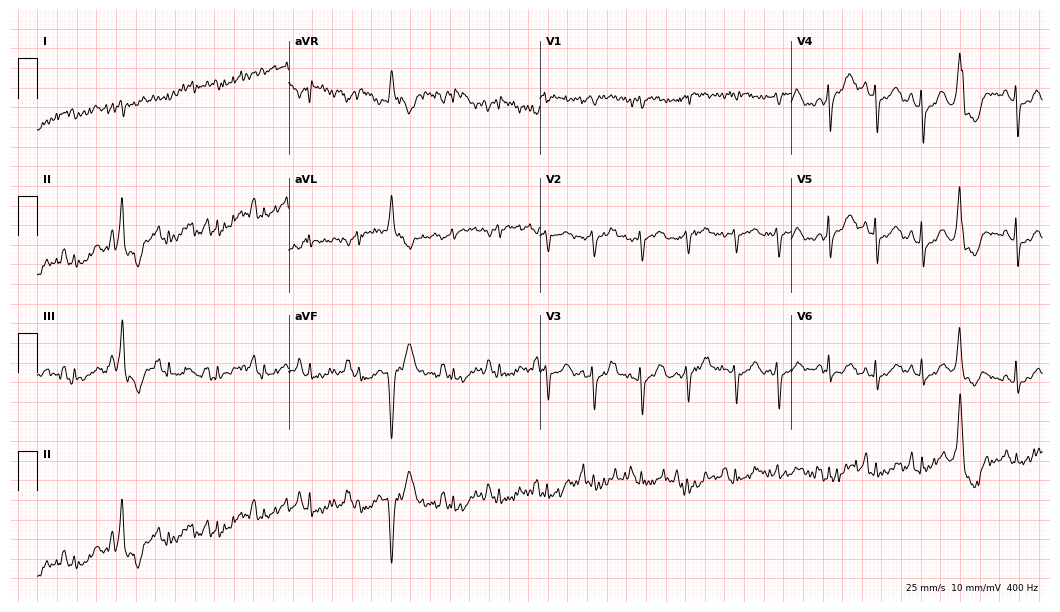
12-lead ECG (10.2-second recording at 400 Hz) from a female, 78 years old. Screened for six findings — first-degree AV block, right bundle branch block, left bundle branch block, sinus bradycardia, atrial fibrillation, sinus tachycardia — none is recorded.